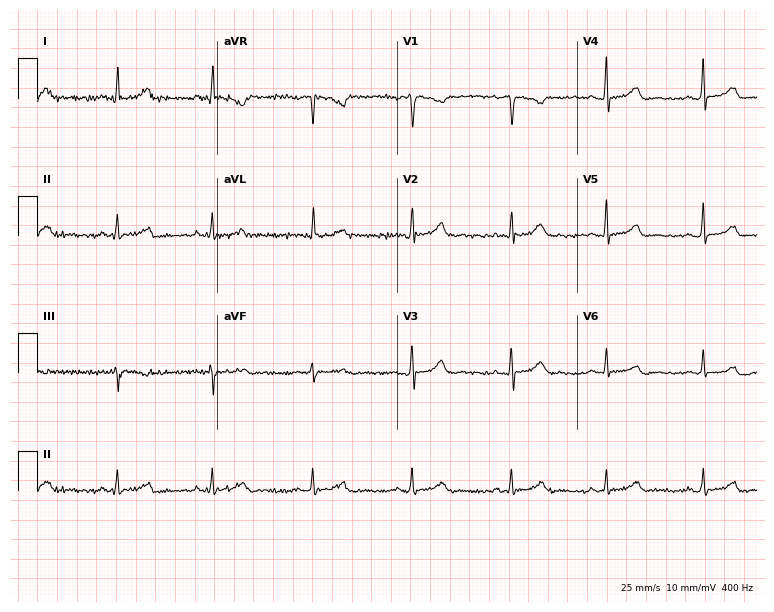
12-lead ECG from a woman, 45 years old. Screened for six findings — first-degree AV block, right bundle branch block, left bundle branch block, sinus bradycardia, atrial fibrillation, sinus tachycardia — none is recorded. Only these six findings were labelled.